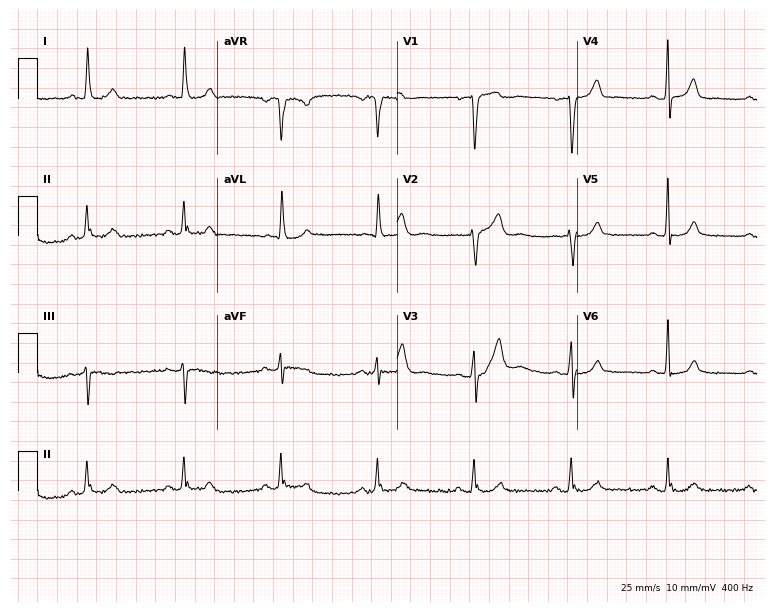
ECG — a 69-year-old male. Screened for six findings — first-degree AV block, right bundle branch block (RBBB), left bundle branch block (LBBB), sinus bradycardia, atrial fibrillation (AF), sinus tachycardia — none is recorded. Only these six findings were labelled.